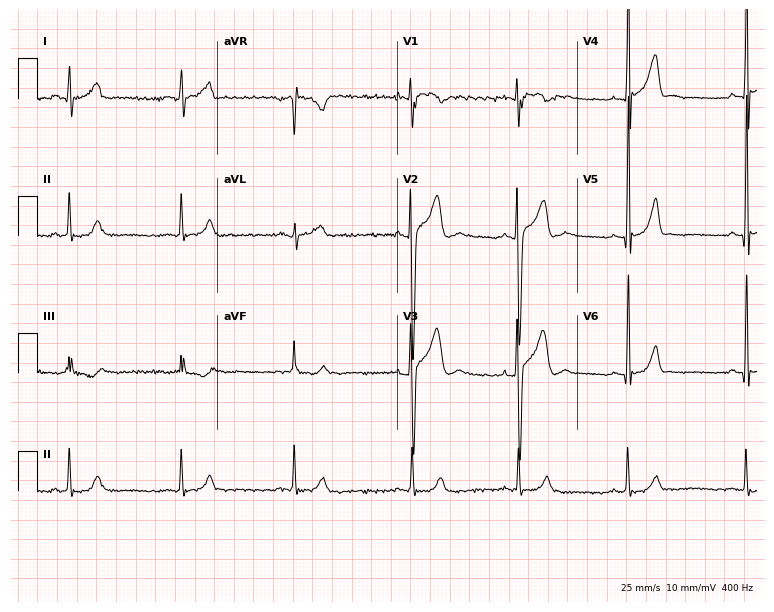
12-lead ECG from a 21-year-old man. Recorded interpretation: within normal limits.